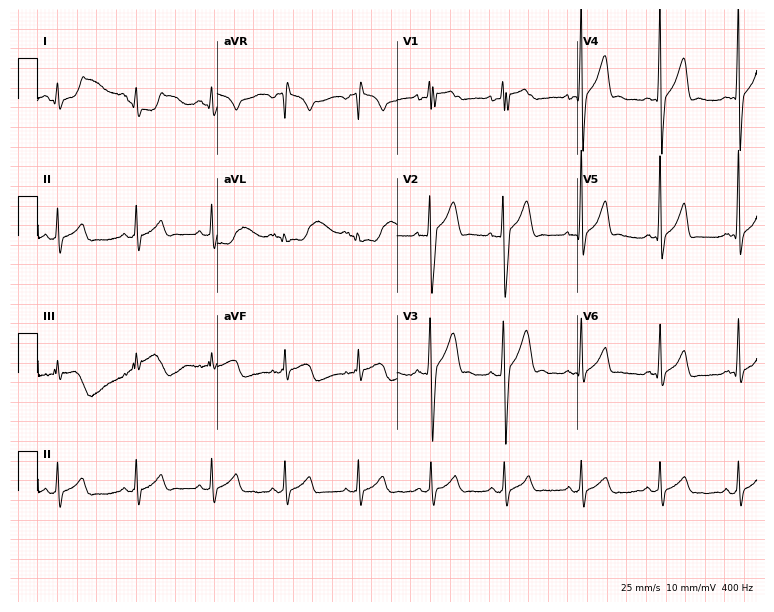
12-lead ECG (7.3-second recording at 400 Hz) from a man, 20 years old. Labelled as a normal ECG.